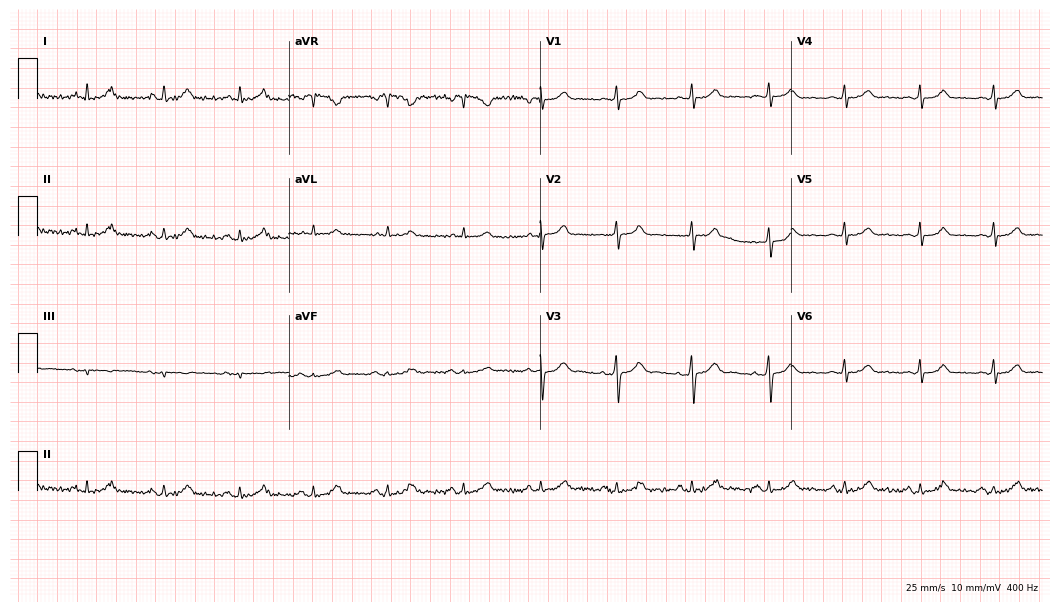
Electrocardiogram (10.2-second recording at 400 Hz), a 35-year-old woman. Overall reading on record: normal ECG.